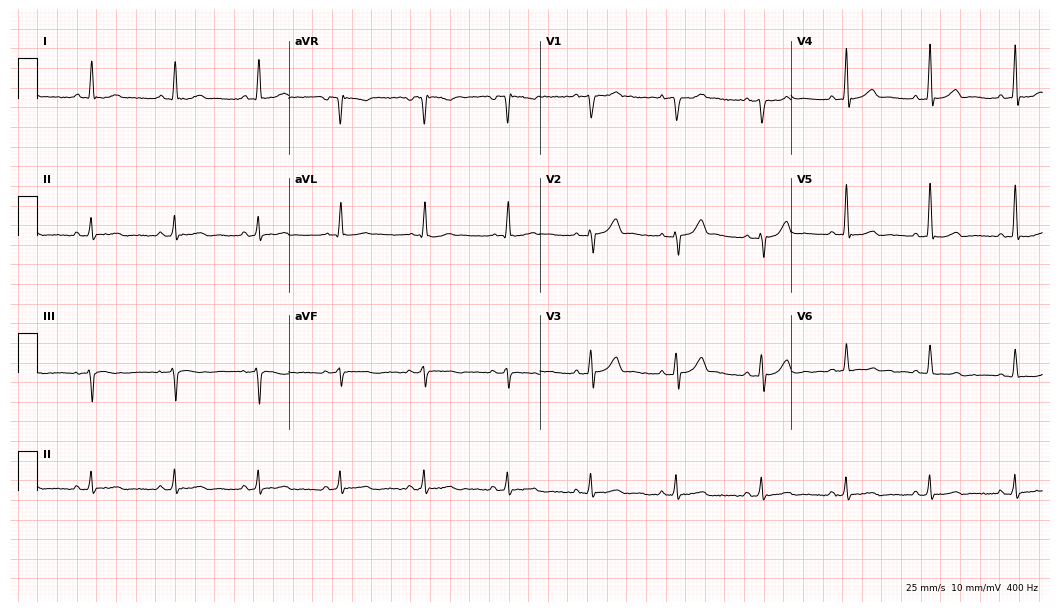
12-lead ECG from a male patient, 62 years old. Screened for six findings — first-degree AV block, right bundle branch block (RBBB), left bundle branch block (LBBB), sinus bradycardia, atrial fibrillation (AF), sinus tachycardia — none is recorded.